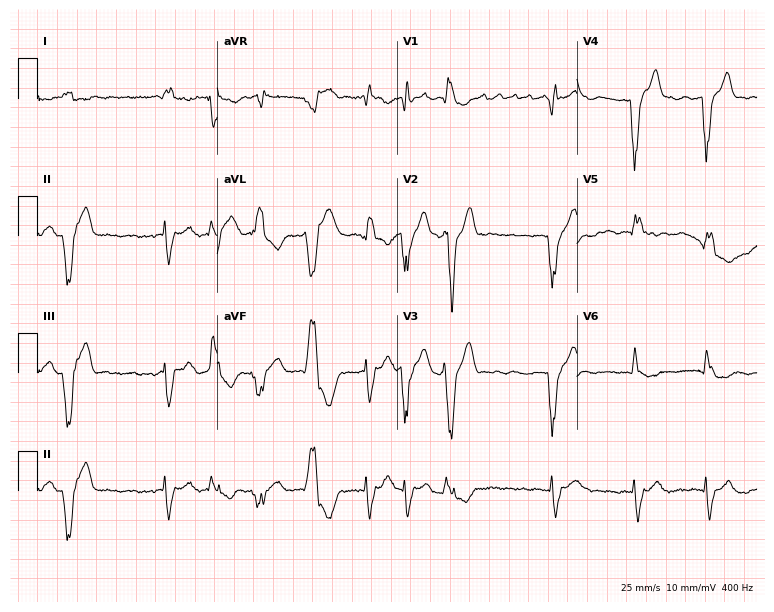
12-lead ECG from a male patient, 72 years old. Findings include left bundle branch block, atrial fibrillation.